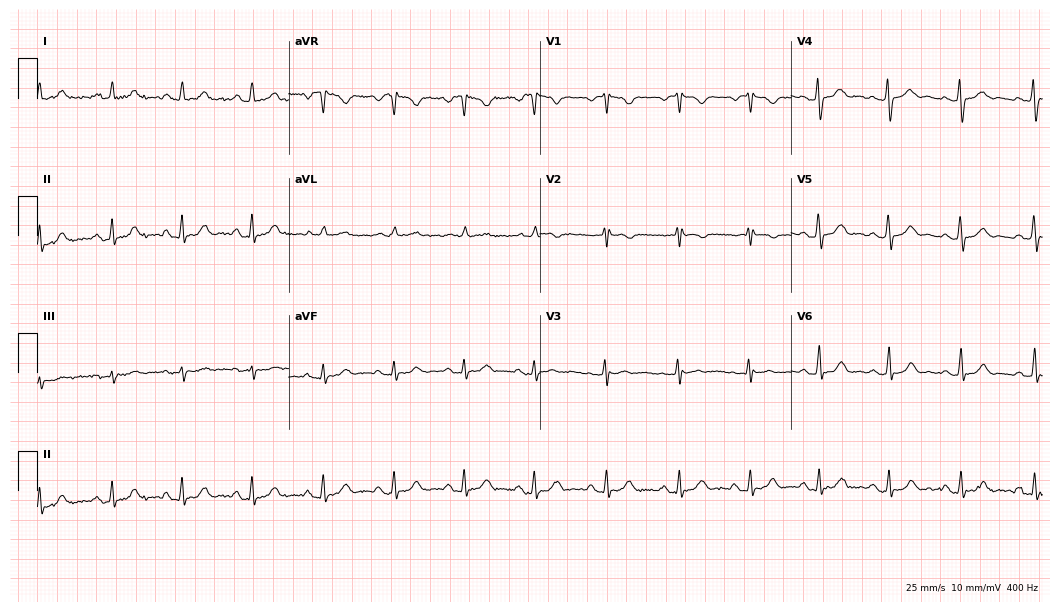
12-lead ECG from a 35-year-old woman. Screened for six findings — first-degree AV block, right bundle branch block, left bundle branch block, sinus bradycardia, atrial fibrillation, sinus tachycardia — none is recorded. Only these six findings were labelled.